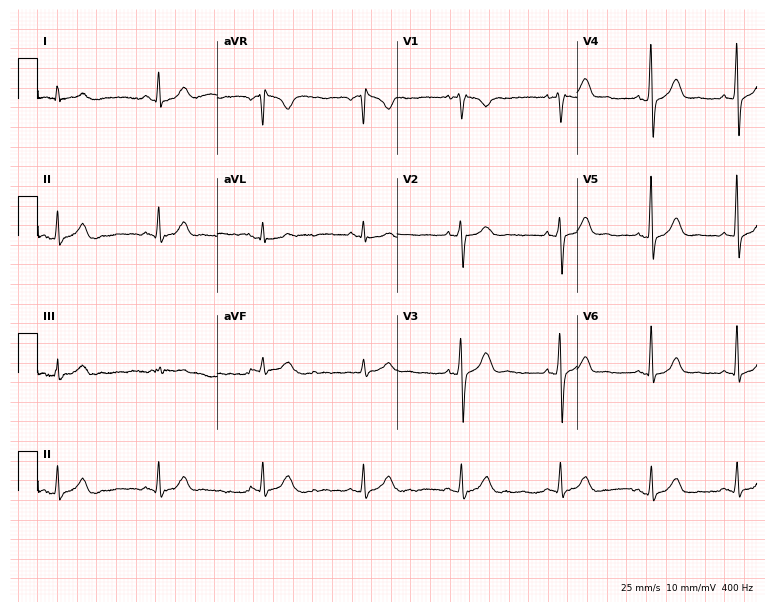
12-lead ECG from a 59-year-old male patient. Screened for six findings — first-degree AV block, right bundle branch block, left bundle branch block, sinus bradycardia, atrial fibrillation, sinus tachycardia — none is recorded. Other findings, if any, are not listed.